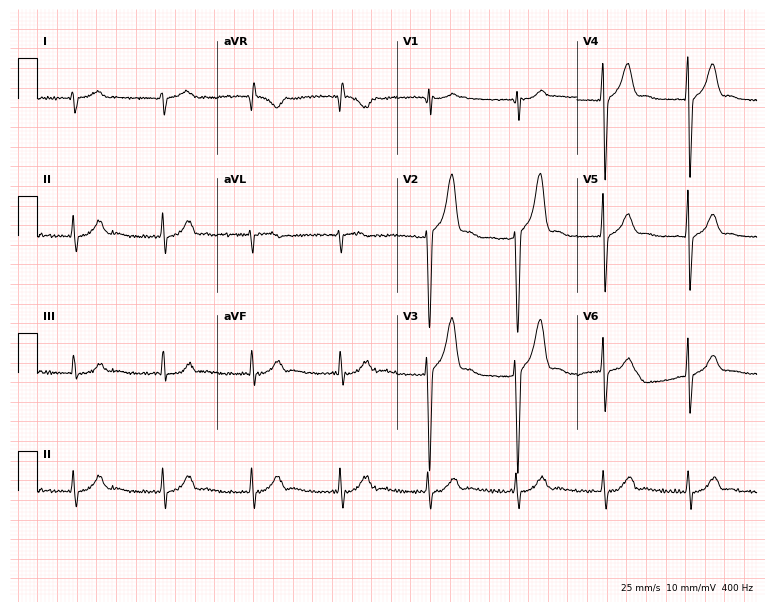
ECG — a 31-year-old male. Screened for six findings — first-degree AV block, right bundle branch block (RBBB), left bundle branch block (LBBB), sinus bradycardia, atrial fibrillation (AF), sinus tachycardia — none is recorded.